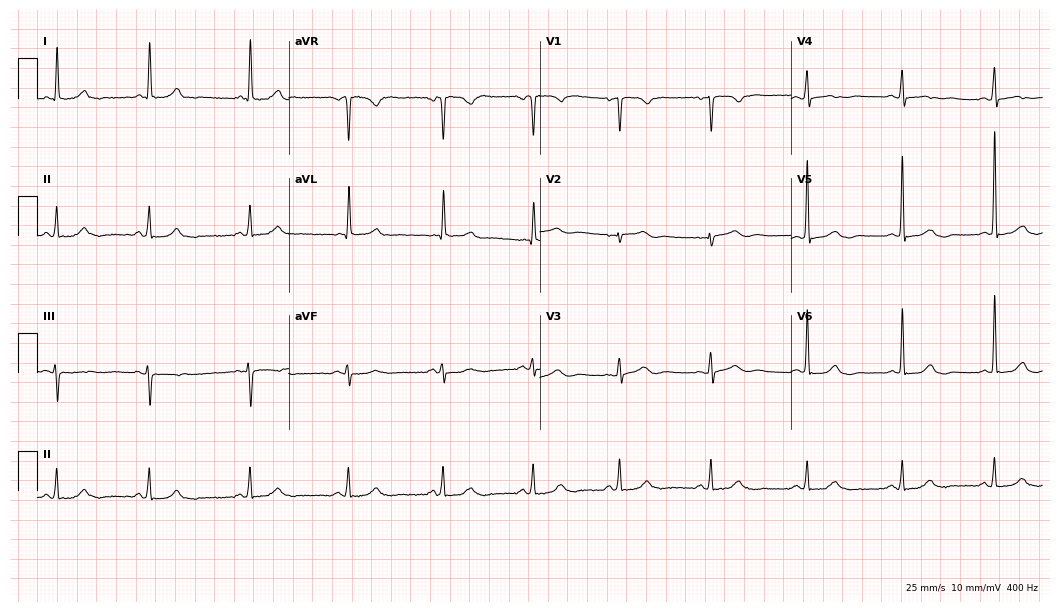
Resting 12-lead electrocardiogram (10.2-second recording at 400 Hz). Patient: a female, 68 years old. None of these six findings is recorded: first-degree AV block, right bundle branch block (RBBB), left bundle branch block (LBBB), sinus bradycardia, atrial fibrillation (AF), sinus tachycardia. Findings outside these six are not listed.